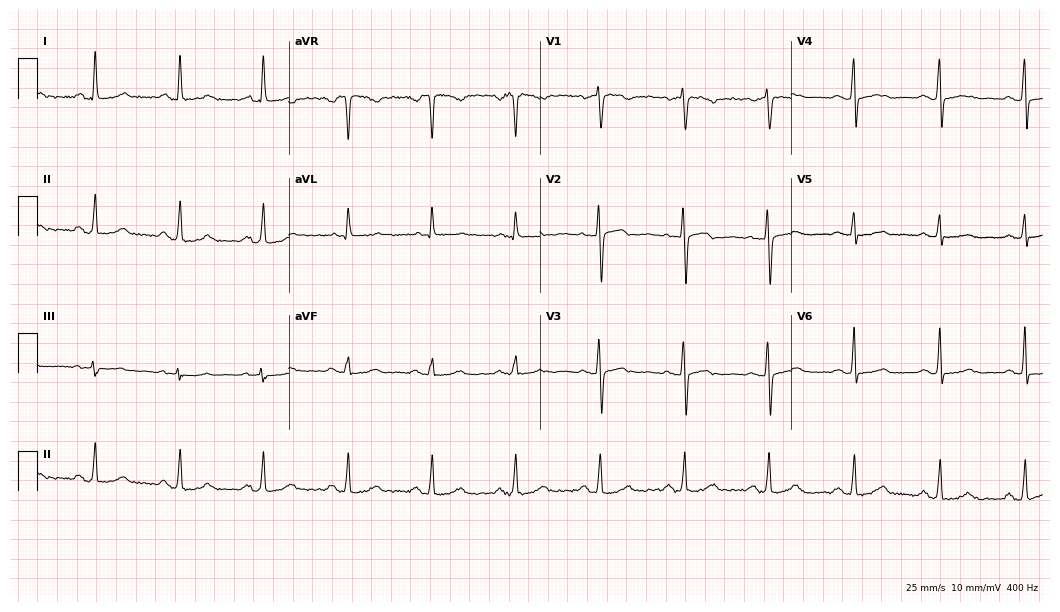
12-lead ECG (10.2-second recording at 400 Hz) from a female, 64 years old. Labelled as a normal ECG.